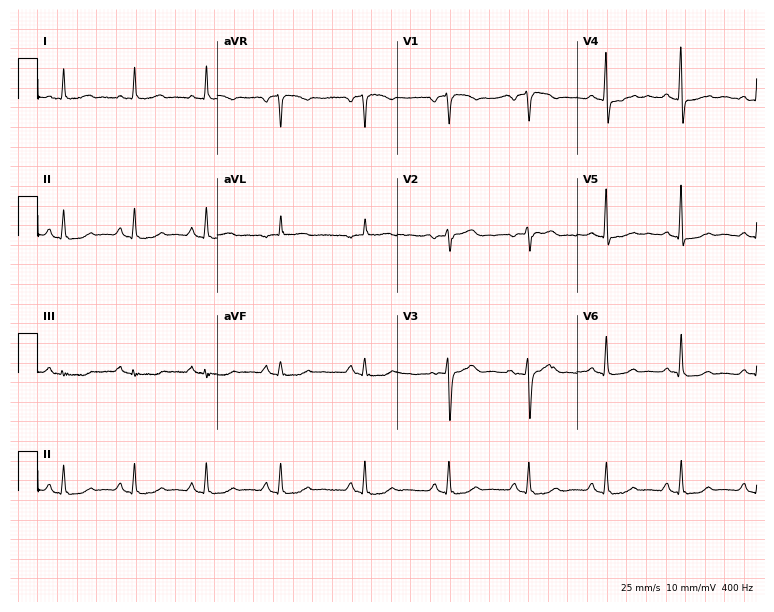
Standard 12-lead ECG recorded from a 53-year-old female (7.3-second recording at 400 Hz). None of these six findings is recorded: first-degree AV block, right bundle branch block (RBBB), left bundle branch block (LBBB), sinus bradycardia, atrial fibrillation (AF), sinus tachycardia. Only these six findings were labelled.